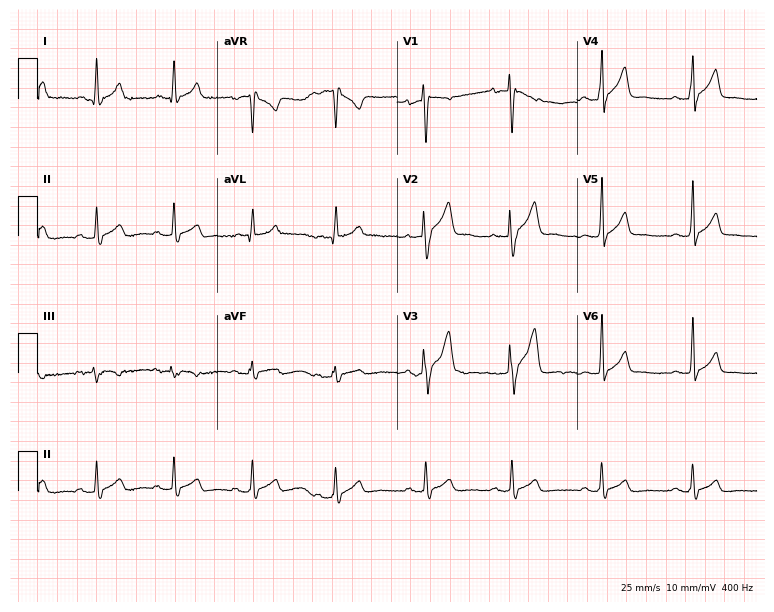
Electrocardiogram (7.3-second recording at 400 Hz), a man, 36 years old. Overall reading on record: normal ECG.